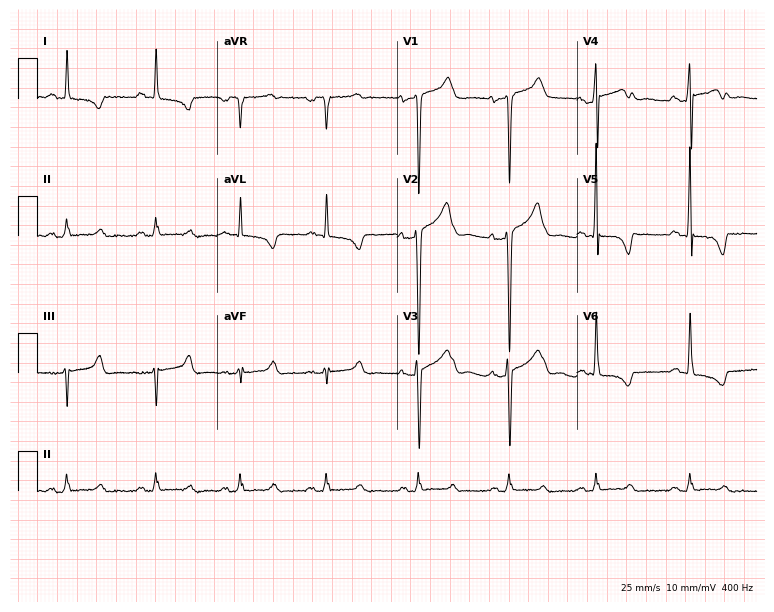
Standard 12-lead ECG recorded from a 53-year-old man (7.3-second recording at 400 Hz). None of these six findings is recorded: first-degree AV block, right bundle branch block (RBBB), left bundle branch block (LBBB), sinus bradycardia, atrial fibrillation (AF), sinus tachycardia. Other findings, if any, are not listed.